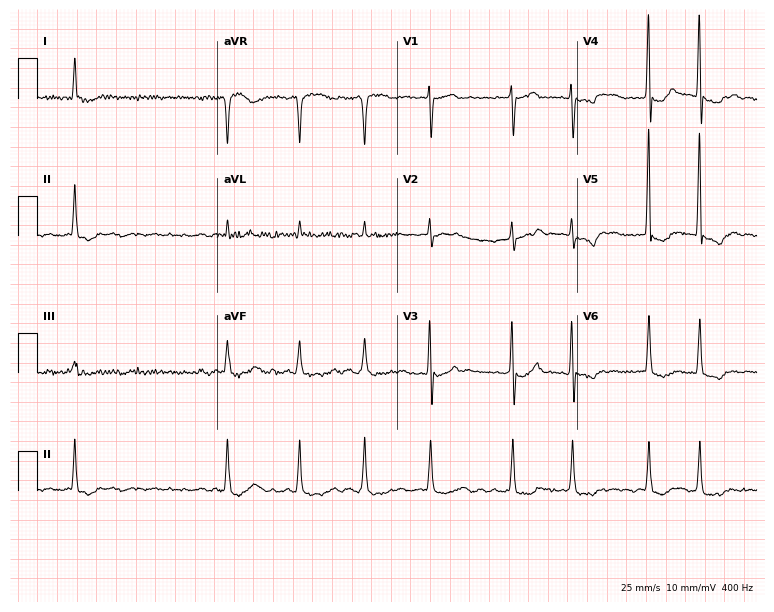
12-lead ECG from a 62-year-old man (7.3-second recording at 400 Hz). Shows atrial fibrillation.